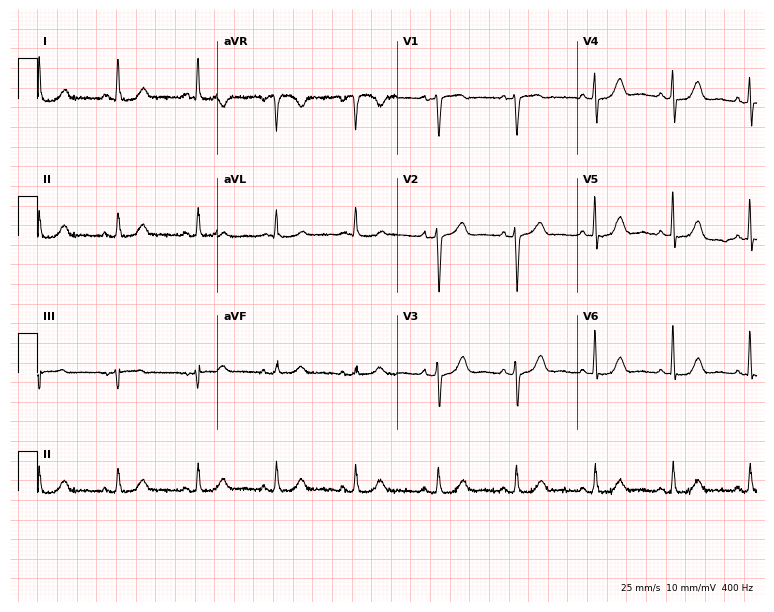
12-lead ECG from a 67-year-old man. Recorded interpretation: within normal limits.